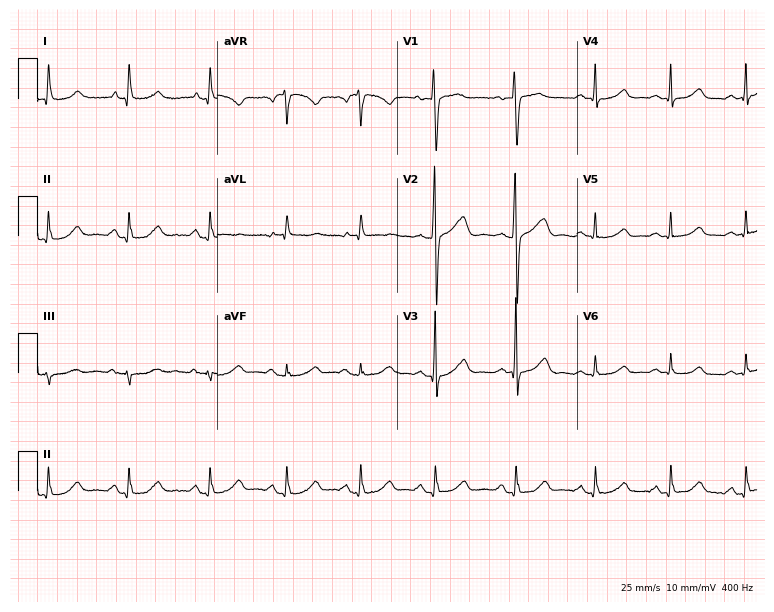
12-lead ECG from a female patient, 80 years old. Labelled as a normal ECG.